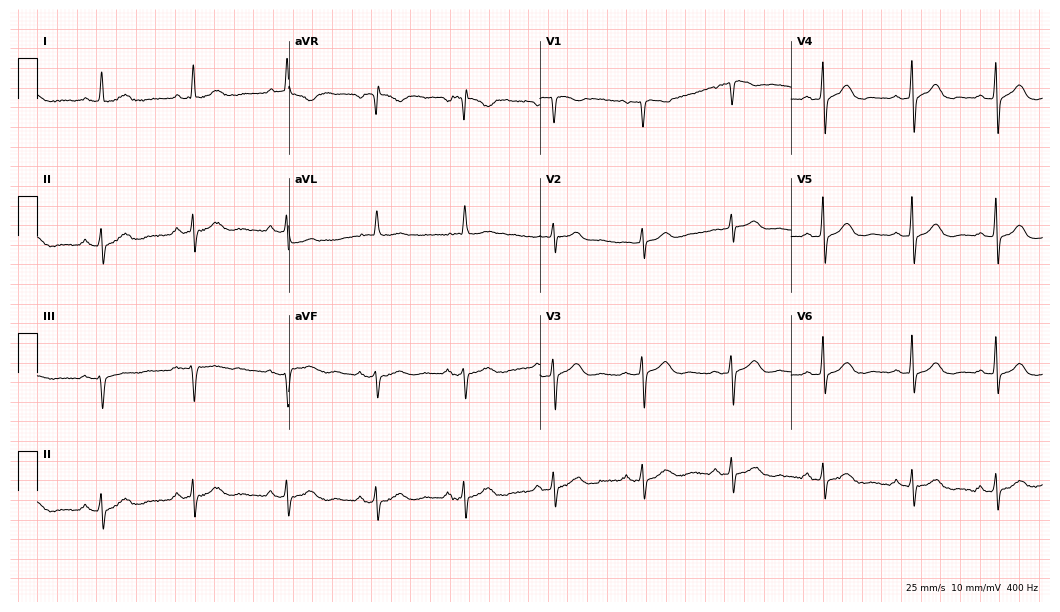
ECG (10.2-second recording at 400 Hz) — a 62-year-old female. Labelled as a normal ECG.